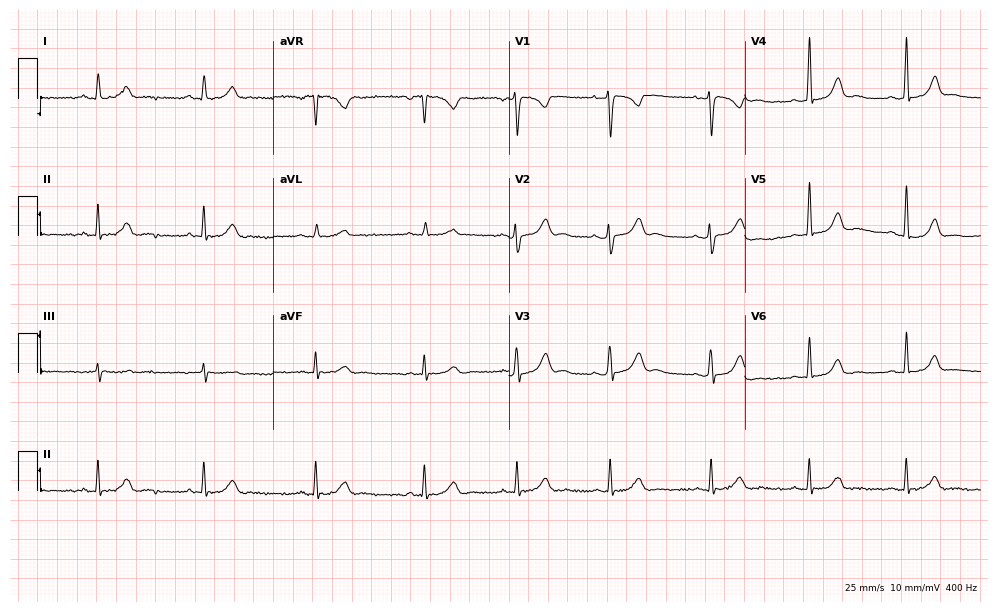
12-lead ECG from a 38-year-old woman. No first-degree AV block, right bundle branch block, left bundle branch block, sinus bradycardia, atrial fibrillation or sinus tachycardia recorded for this tracing.